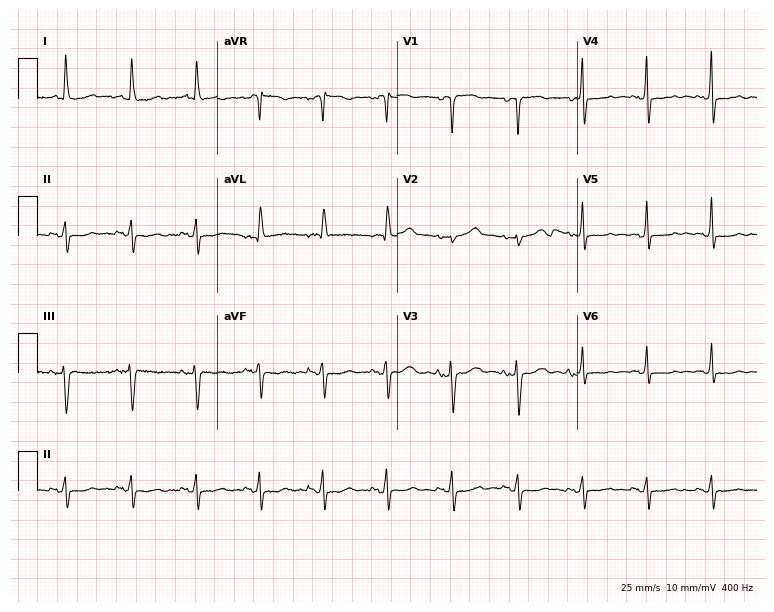
Electrocardiogram, a woman, 79 years old. Of the six screened findings (first-degree AV block, right bundle branch block, left bundle branch block, sinus bradycardia, atrial fibrillation, sinus tachycardia), none is recorded. Other findings, if any, are not listed.